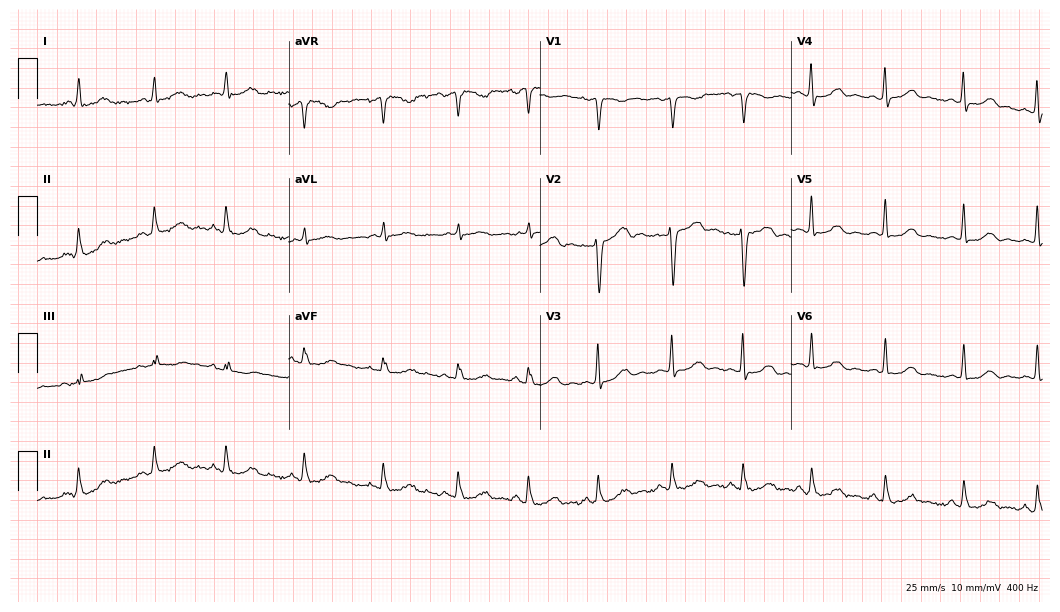
Electrocardiogram, a 46-year-old woman. Overall reading on record: normal ECG.